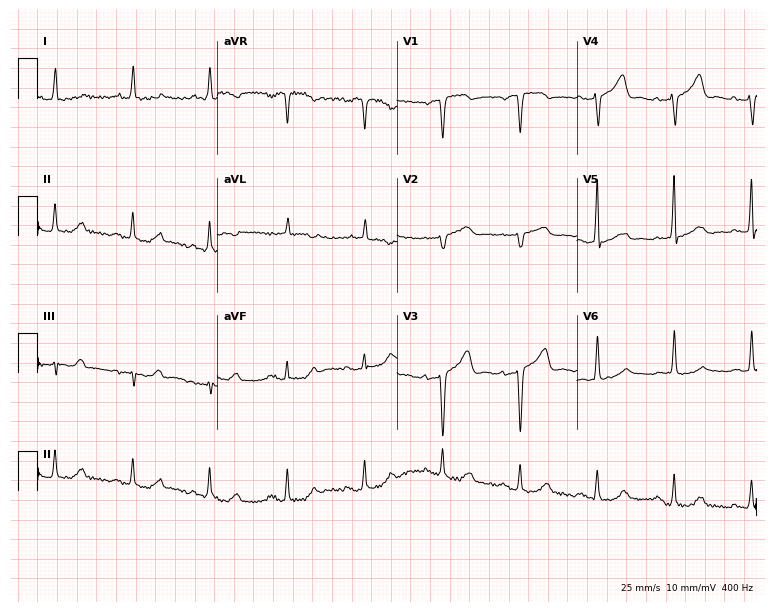
Electrocardiogram, an 83-year-old woman. Of the six screened findings (first-degree AV block, right bundle branch block (RBBB), left bundle branch block (LBBB), sinus bradycardia, atrial fibrillation (AF), sinus tachycardia), none is recorded.